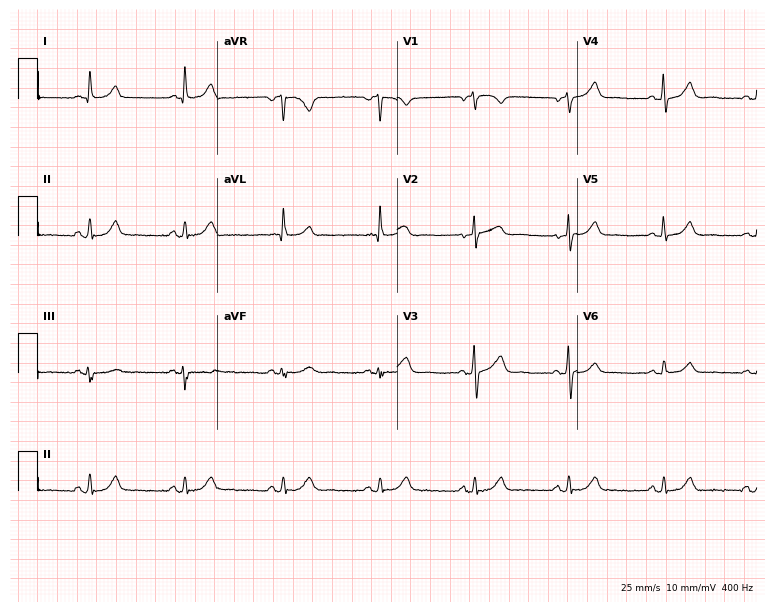
Resting 12-lead electrocardiogram (7.3-second recording at 400 Hz). Patient: a 73-year-old female. Read as a normal ECG.